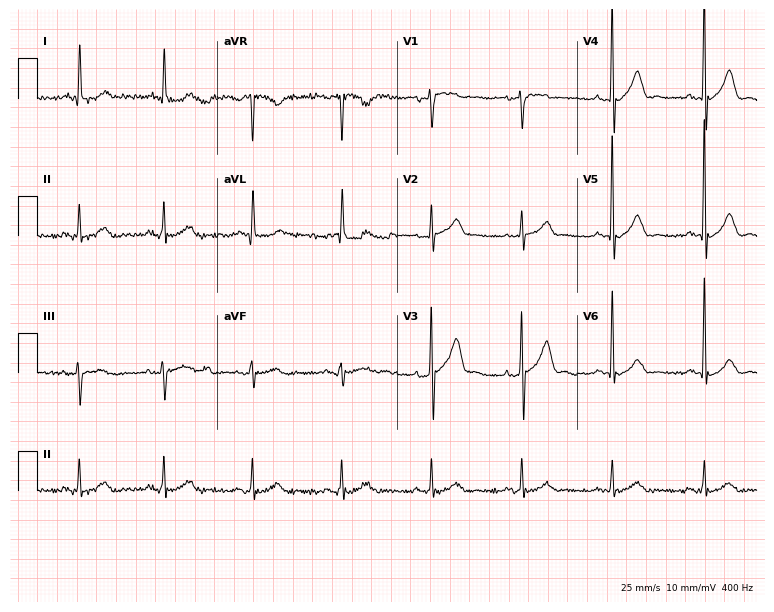
Standard 12-lead ECG recorded from a male, 66 years old (7.3-second recording at 400 Hz). Read as a normal ECG.